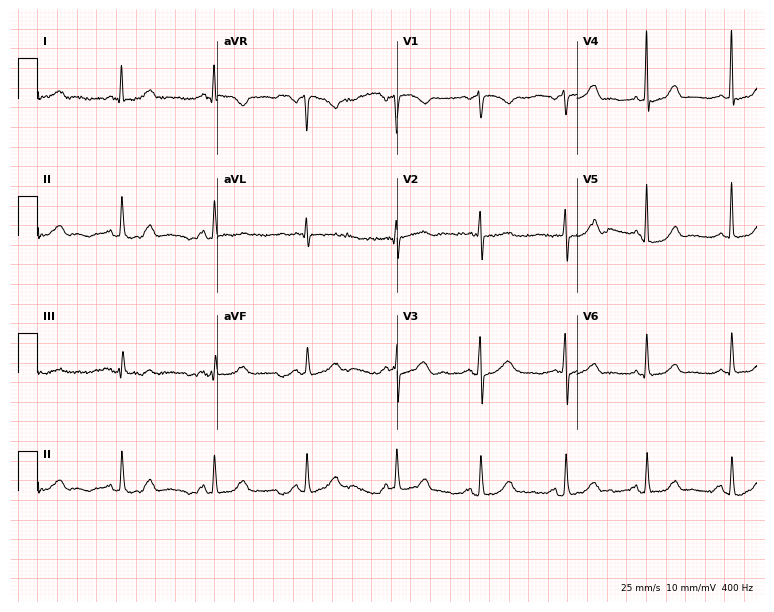
Standard 12-lead ECG recorded from a female patient, 72 years old (7.3-second recording at 400 Hz). Read as a normal ECG.